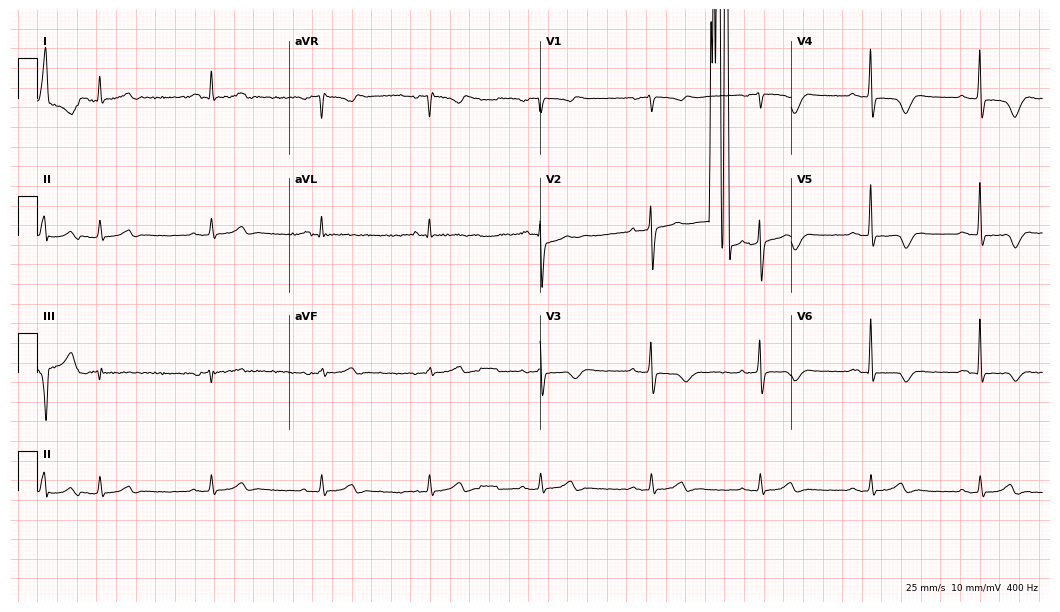
12-lead ECG from a male patient, 78 years old. Screened for six findings — first-degree AV block, right bundle branch block, left bundle branch block, sinus bradycardia, atrial fibrillation, sinus tachycardia — none is recorded.